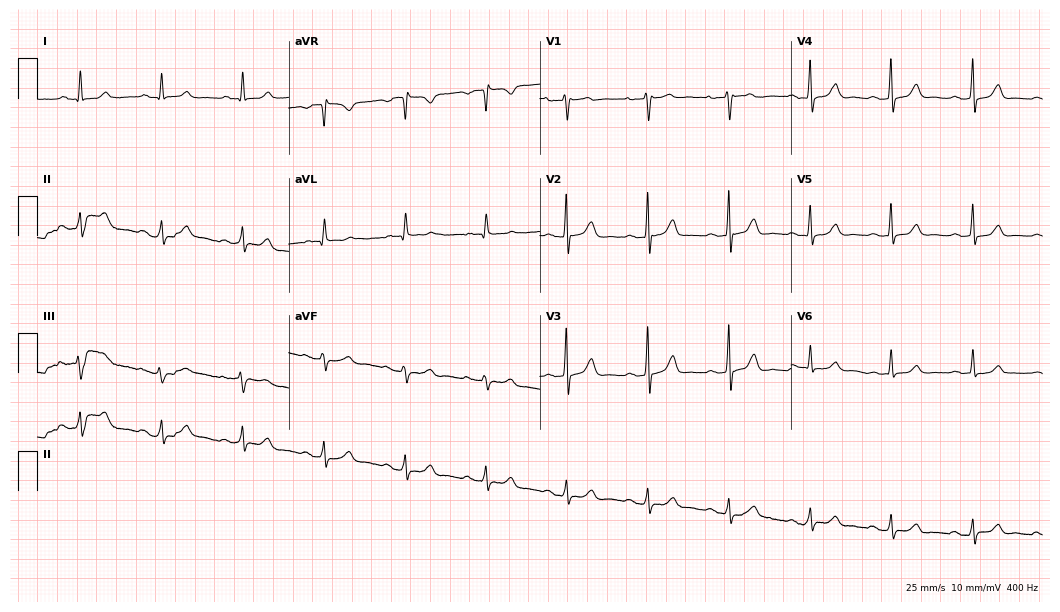
ECG — a man, 72 years old. Labelled as a normal ECG.